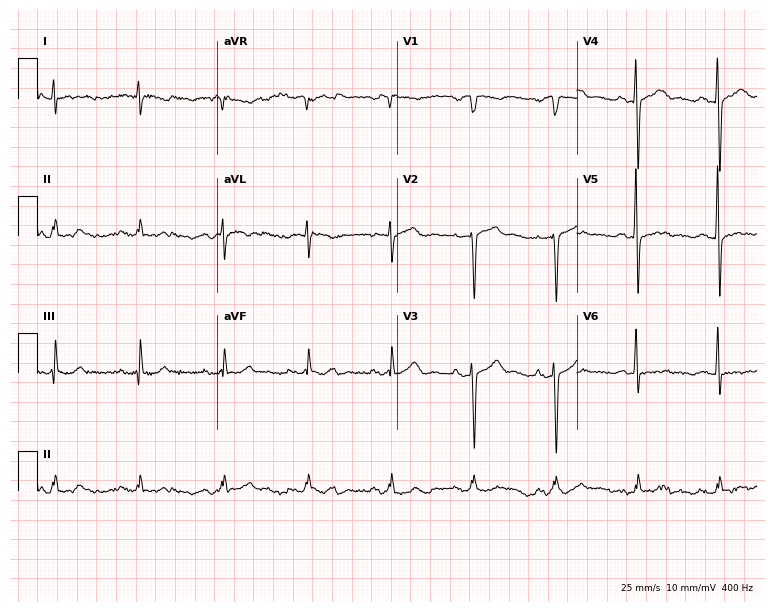
12-lead ECG from an 82-year-old man (7.3-second recording at 400 Hz). No first-degree AV block, right bundle branch block (RBBB), left bundle branch block (LBBB), sinus bradycardia, atrial fibrillation (AF) or sinus tachycardia recorded for this tracing. Only these six findings were labelled.